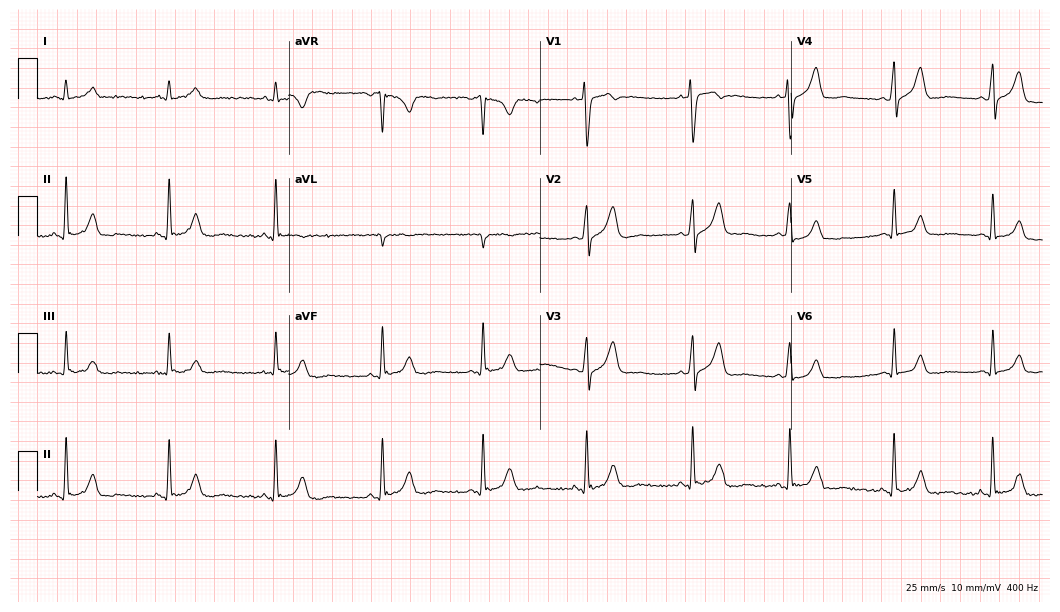
Standard 12-lead ECG recorded from a man, 24 years old (10.2-second recording at 400 Hz). Read as a normal ECG.